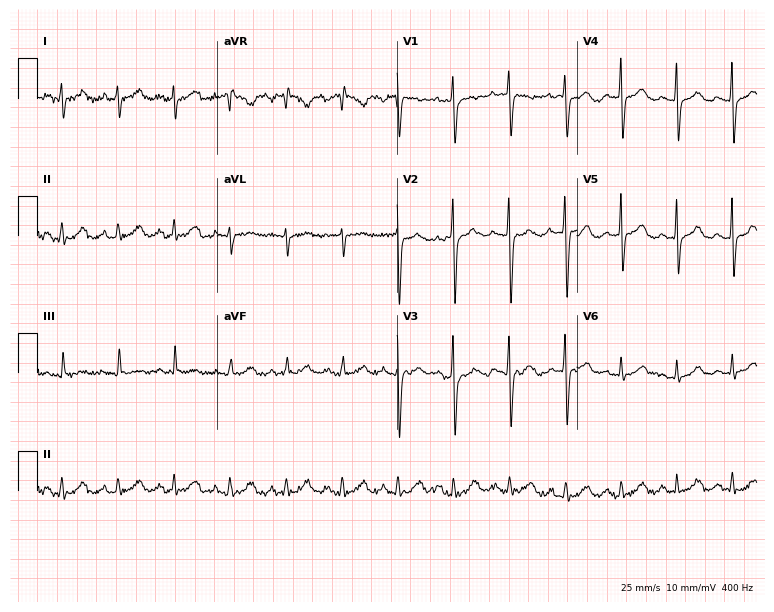
Resting 12-lead electrocardiogram (7.3-second recording at 400 Hz). Patient: a woman, 32 years old. Read as a normal ECG.